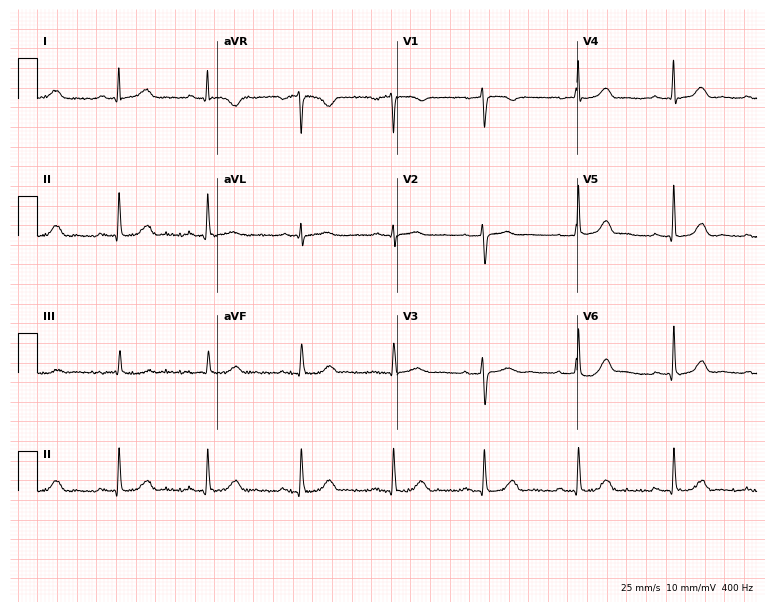
Electrocardiogram (7.3-second recording at 400 Hz), a 53-year-old female patient. Overall reading on record: normal ECG.